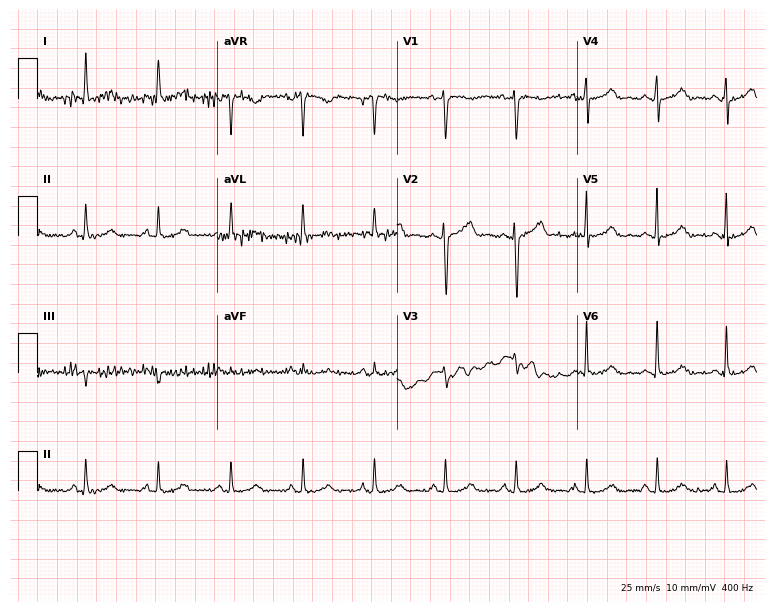
Resting 12-lead electrocardiogram. Patient: a woman, 69 years old. Read as a normal ECG.